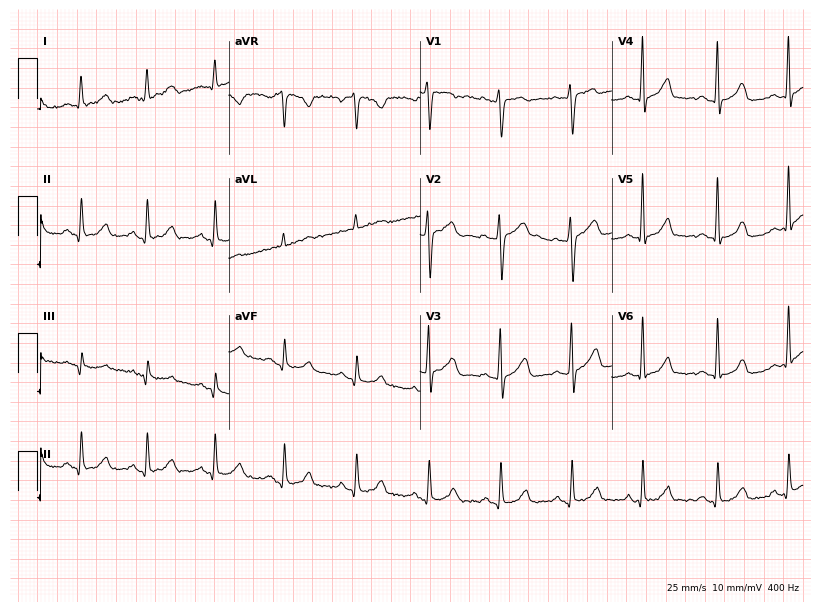
ECG (7.8-second recording at 400 Hz) — a 47-year-old female. Screened for six findings — first-degree AV block, right bundle branch block (RBBB), left bundle branch block (LBBB), sinus bradycardia, atrial fibrillation (AF), sinus tachycardia — none is recorded. Findings outside these six are not listed.